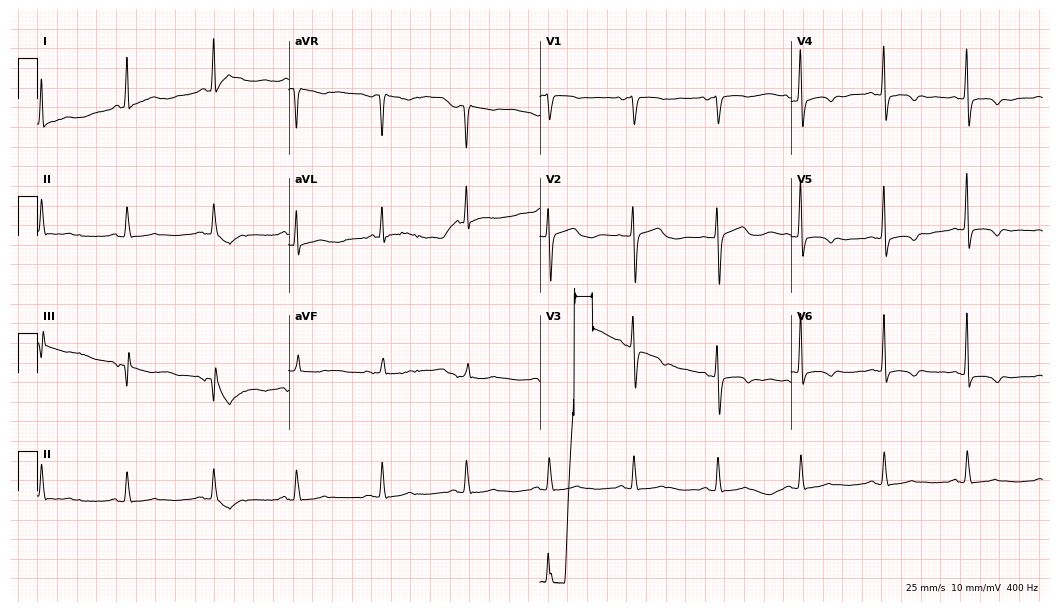
Electrocardiogram, a woman, 75 years old. Of the six screened findings (first-degree AV block, right bundle branch block (RBBB), left bundle branch block (LBBB), sinus bradycardia, atrial fibrillation (AF), sinus tachycardia), none is recorded.